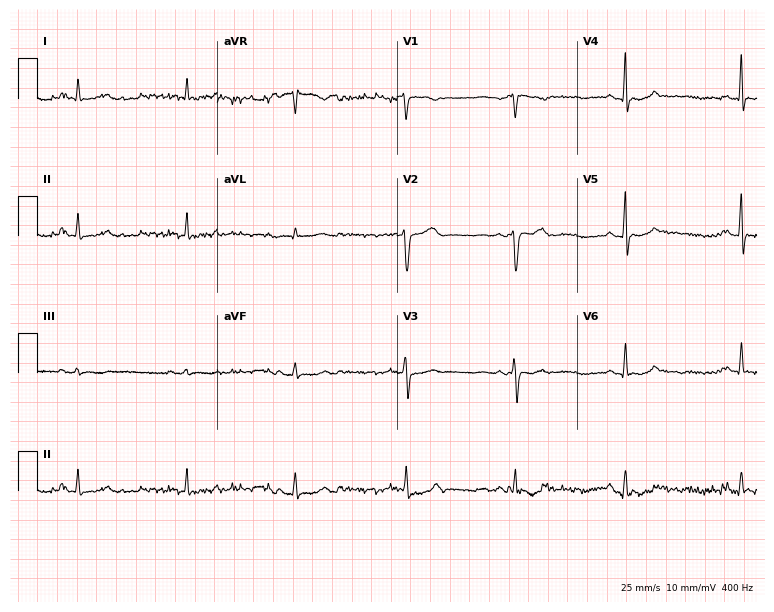
12-lead ECG from a 48-year-old female patient. Screened for six findings — first-degree AV block, right bundle branch block, left bundle branch block, sinus bradycardia, atrial fibrillation, sinus tachycardia — none is recorded.